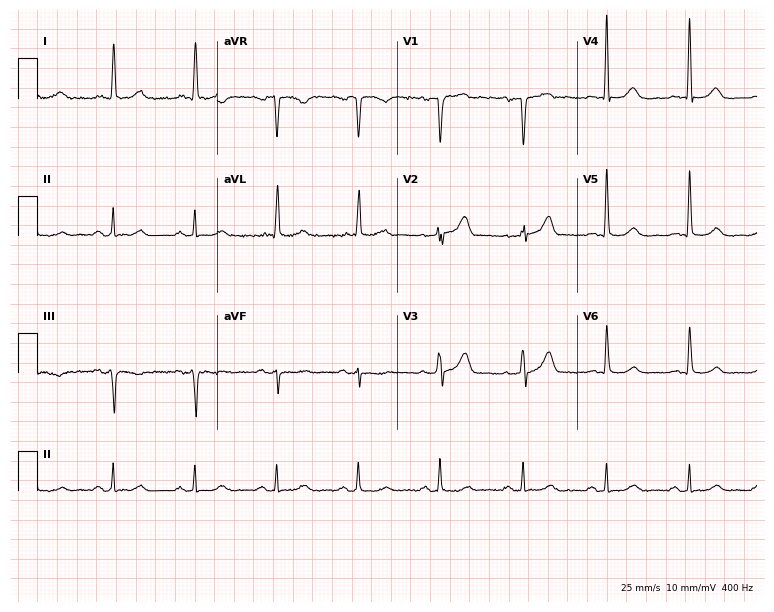
ECG (7.3-second recording at 400 Hz) — a male, 81 years old. Labelled as a normal ECG.